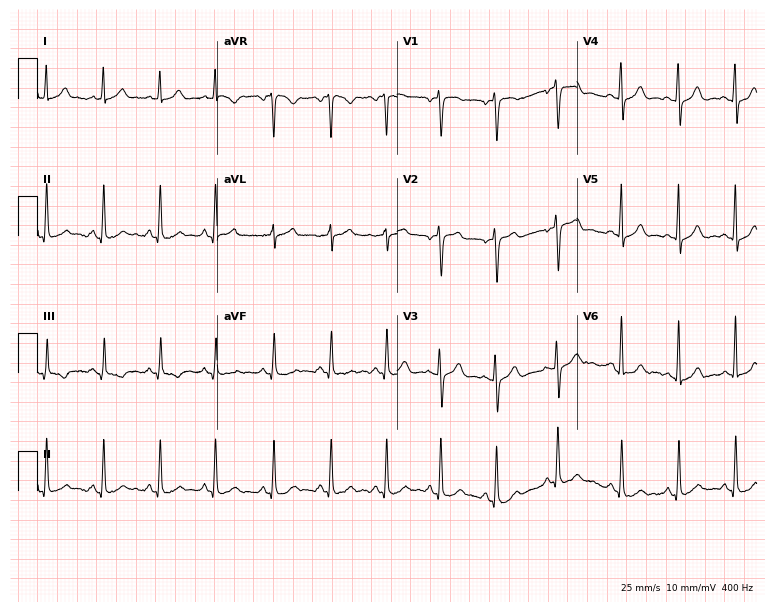
12-lead ECG from a woman, 48 years old. Findings include sinus tachycardia (a sinus rate of 100 beats per minute or more).